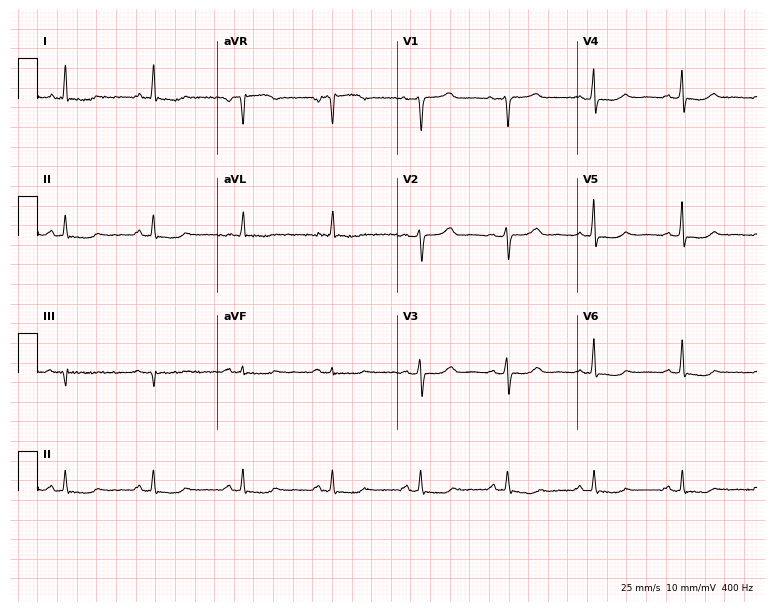
Standard 12-lead ECG recorded from a 61-year-old female patient. None of these six findings is recorded: first-degree AV block, right bundle branch block, left bundle branch block, sinus bradycardia, atrial fibrillation, sinus tachycardia. Only these six findings were labelled.